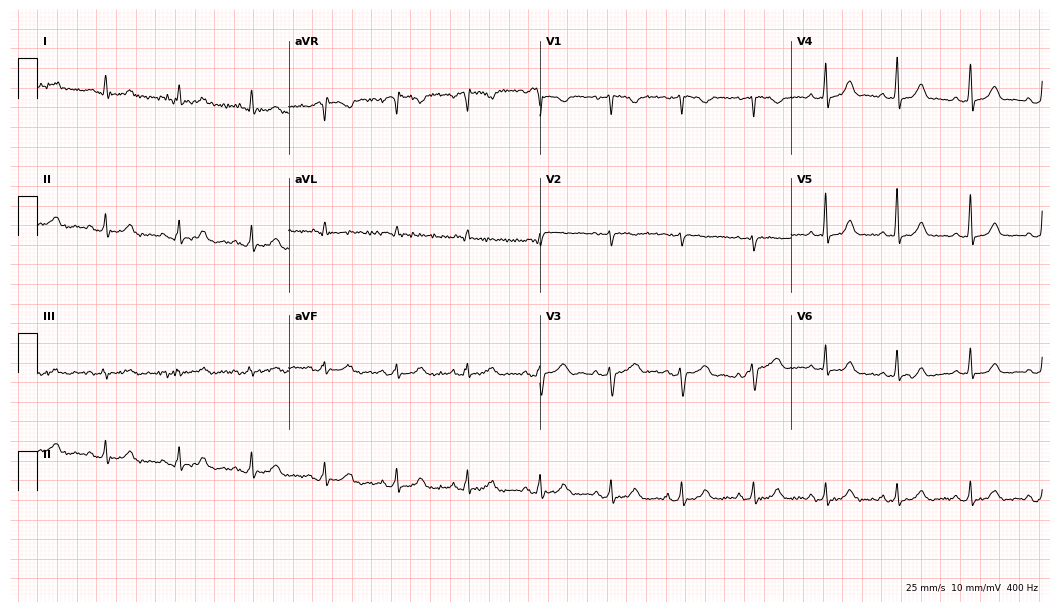
ECG — a woman, 44 years old. Labelled as a normal ECG.